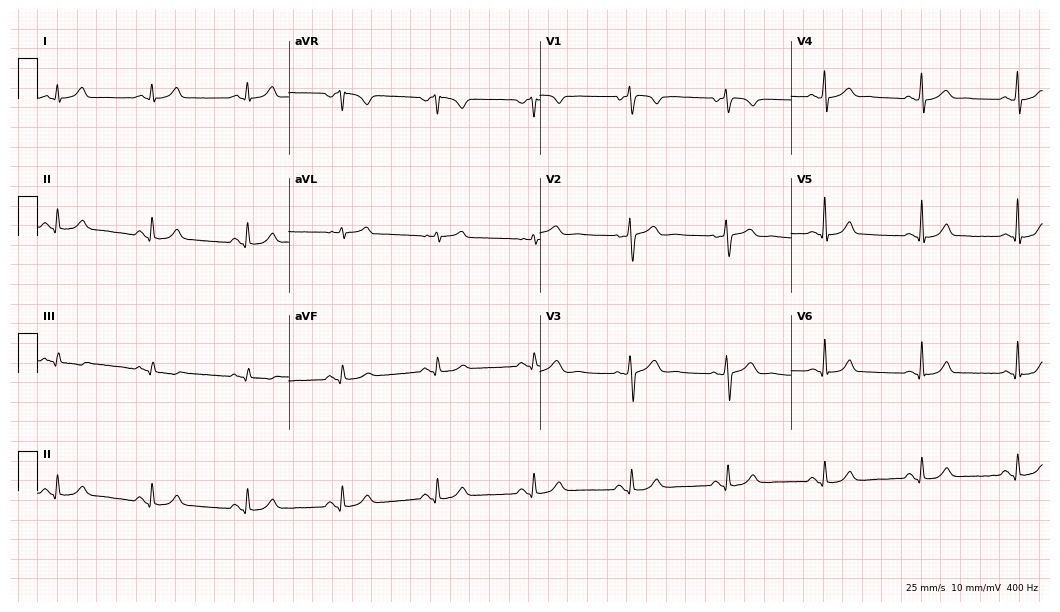
Standard 12-lead ECG recorded from a 44-year-old male patient. None of these six findings is recorded: first-degree AV block, right bundle branch block, left bundle branch block, sinus bradycardia, atrial fibrillation, sinus tachycardia.